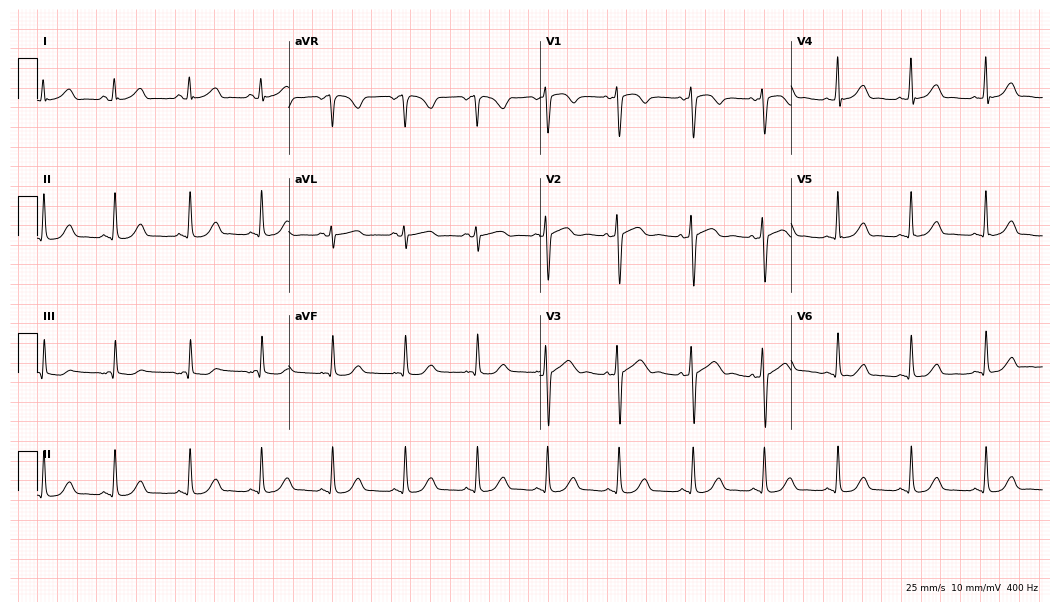
ECG — a 27-year-old female patient. Labelled as a normal ECG.